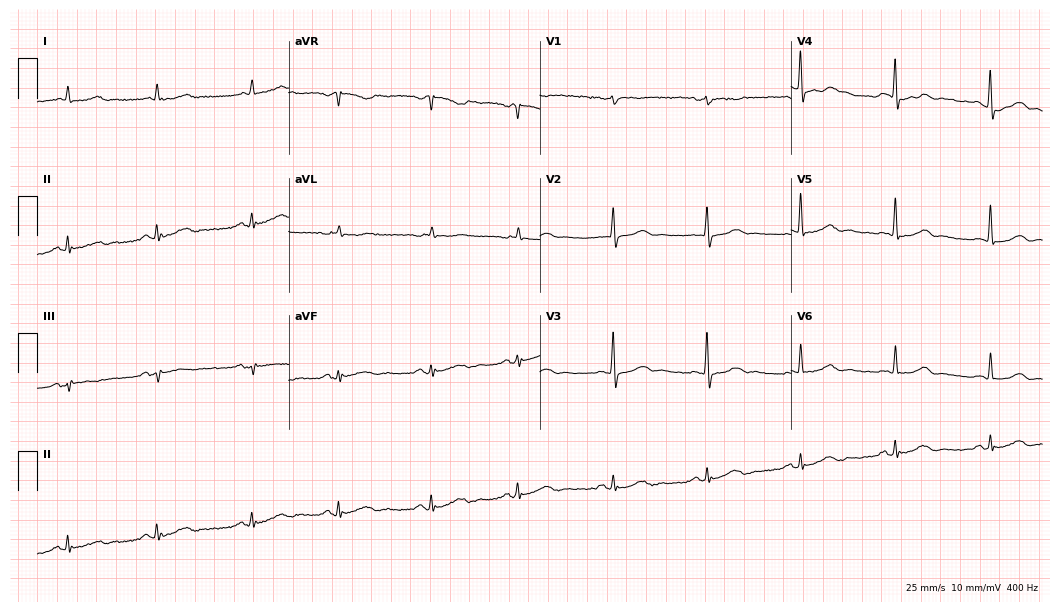
Resting 12-lead electrocardiogram (10.2-second recording at 400 Hz). Patient: a man, 77 years old. Read as a normal ECG.